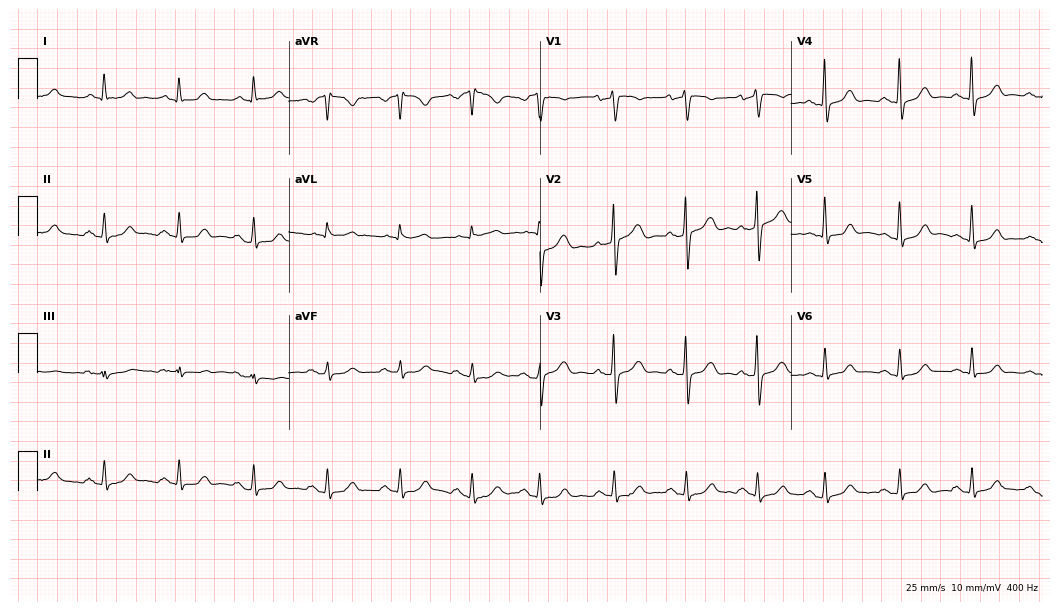
Resting 12-lead electrocardiogram. Patient: a man, 68 years old. None of these six findings is recorded: first-degree AV block, right bundle branch block, left bundle branch block, sinus bradycardia, atrial fibrillation, sinus tachycardia. Findings outside these six are not listed.